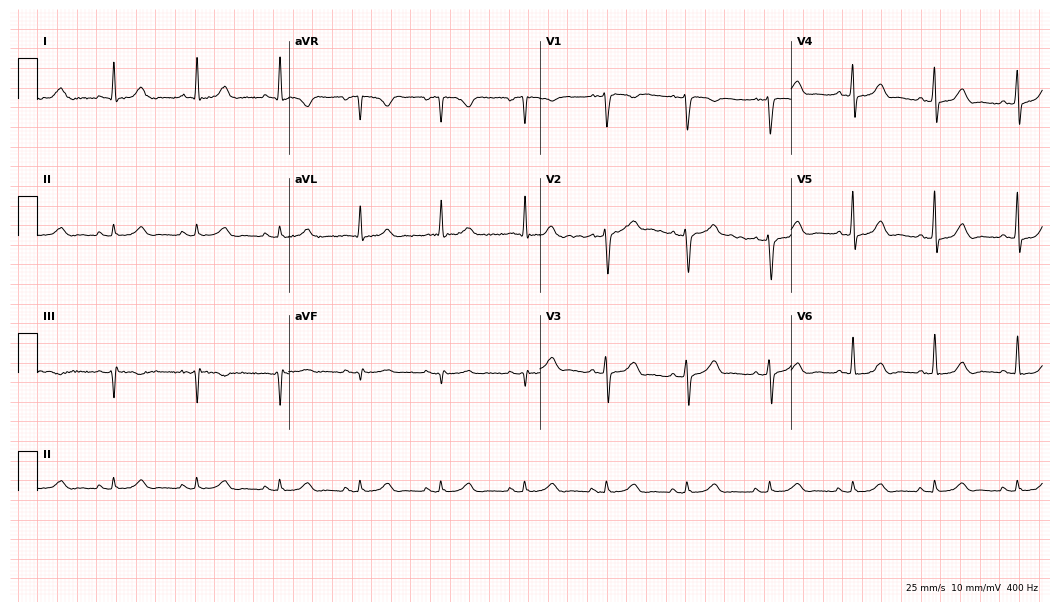
Resting 12-lead electrocardiogram (10.2-second recording at 400 Hz). Patient: a 50-year-old man. Read as a normal ECG.